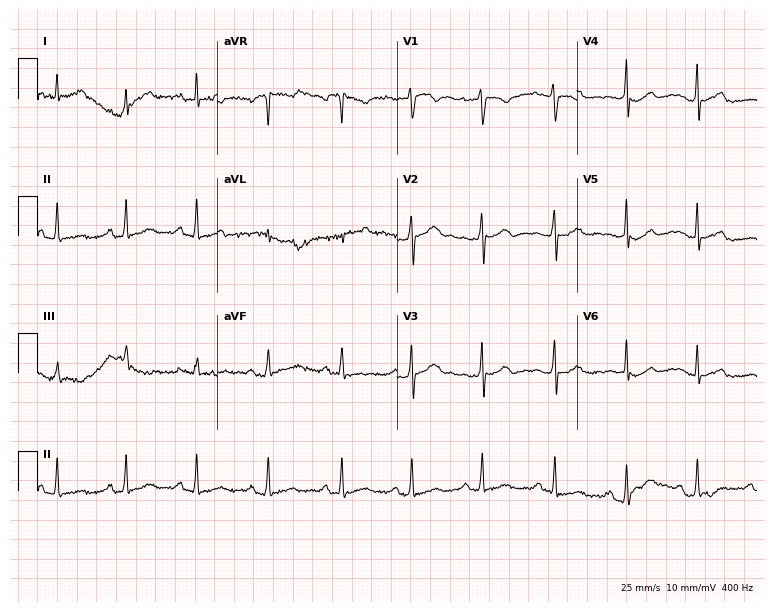
Standard 12-lead ECG recorded from a 42-year-old female patient. Read as a normal ECG.